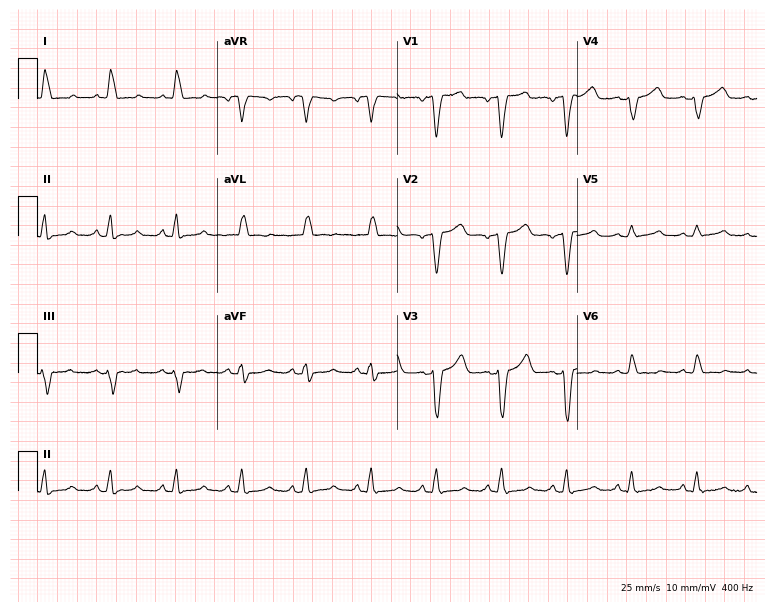
12-lead ECG (7.3-second recording at 400 Hz) from a woman, 49 years old. Screened for six findings — first-degree AV block, right bundle branch block (RBBB), left bundle branch block (LBBB), sinus bradycardia, atrial fibrillation (AF), sinus tachycardia — none is recorded. Findings outside these six are not listed.